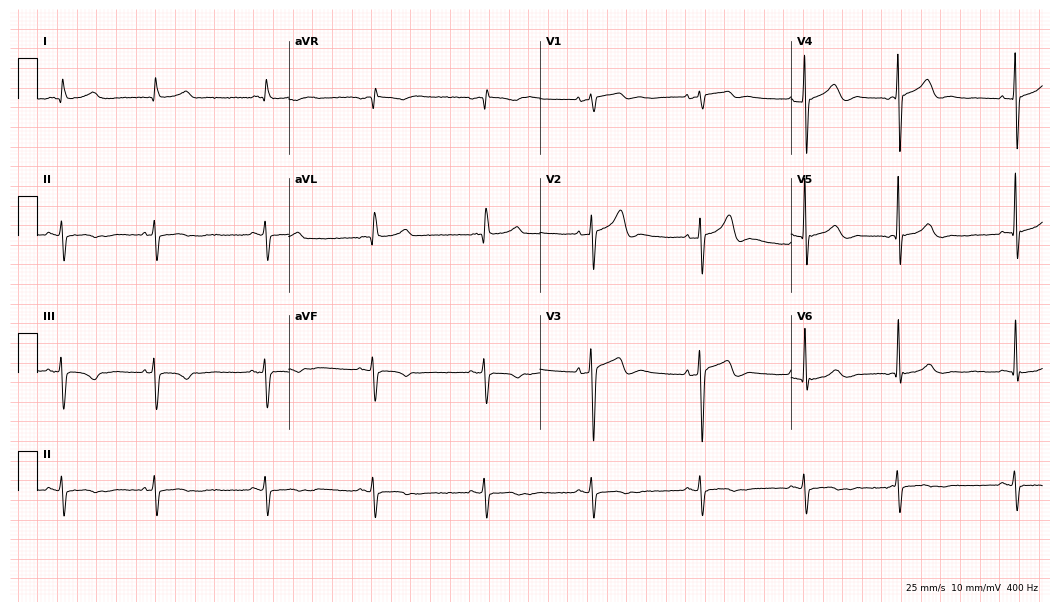
Electrocardiogram, a 62-year-old male. Of the six screened findings (first-degree AV block, right bundle branch block (RBBB), left bundle branch block (LBBB), sinus bradycardia, atrial fibrillation (AF), sinus tachycardia), none is recorded.